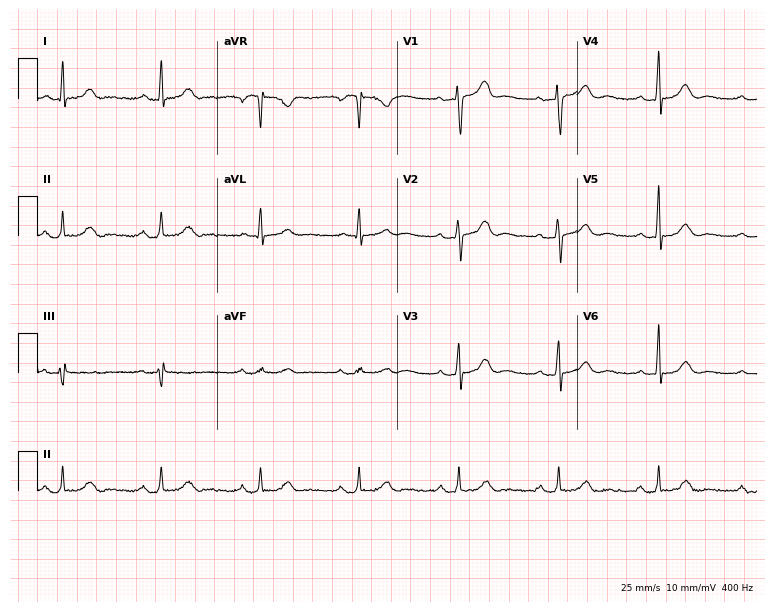
ECG (7.3-second recording at 400 Hz) — a female, 56 years old. Screened for six findings — first-degree AV block, right bundle branch block (RBBB), left bundle branch block (LBBB), sinus bradycardia, atrial fibrillation (AF), sinus tachycardia — none is recorded.